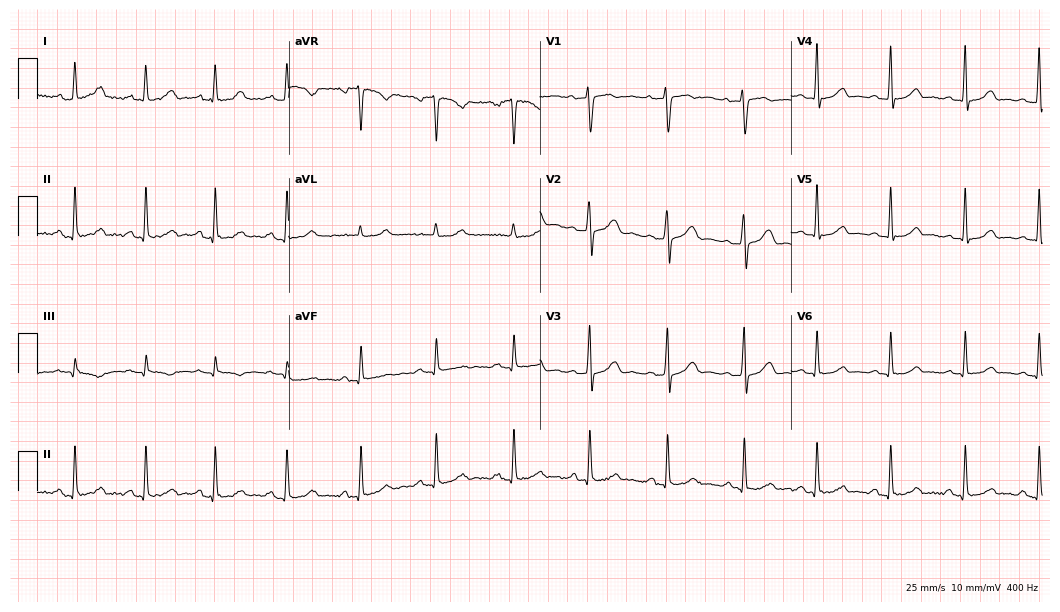
12-lead ECG from a female, 27 years old (10.2-second recording at 400 Hz). No first-degree AV block, right bundle branch block (RBBB), left bundle branch block (LBBB), sinus bradycardia, atrial fibrillation (AF) or sinus tachycardia recorded for this tracing. Findings outside these six are not listed.